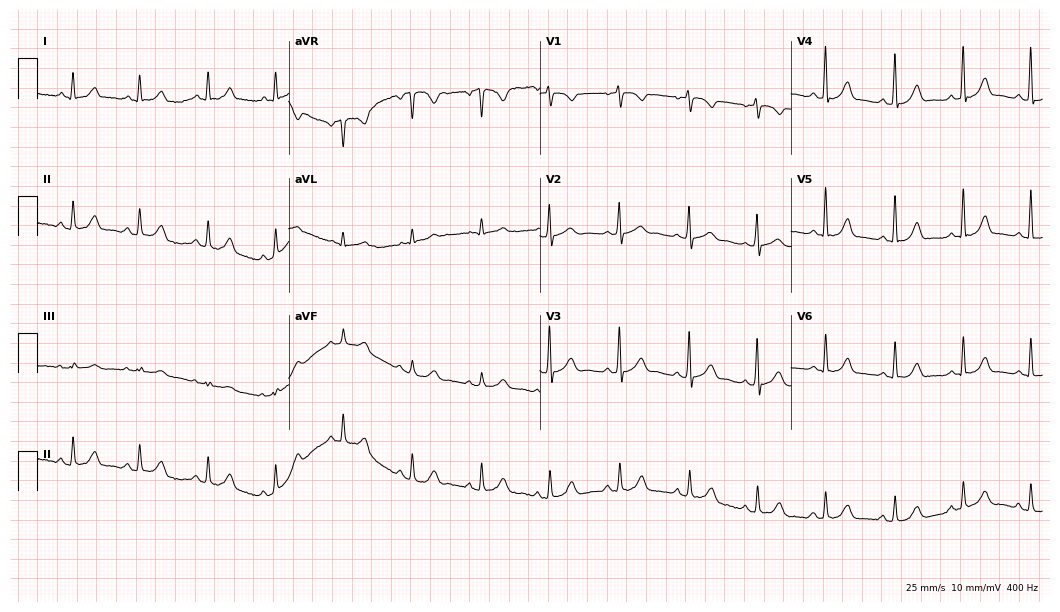
12-lead ECG from a 66-year-old female. Labelled as a normal ECG.